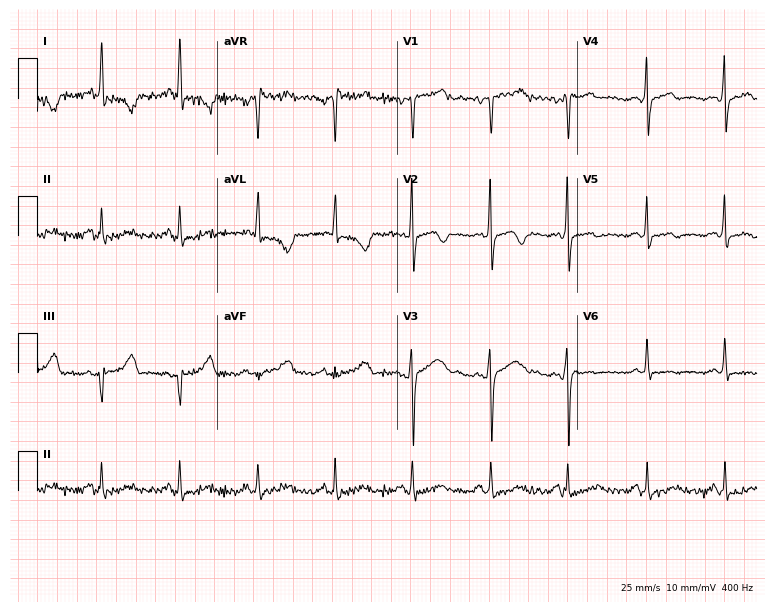
12-lead ECG (7.3-second recording at 400 Hz) from a male patient, 50 years old. Screened for six findings — first-degree AV block, right bundle branch block (RBBB), left bundle branch block (LBBB), sinus bradycardia, atrial fibrillation (AF), sinus tachycardia — none is recorded.